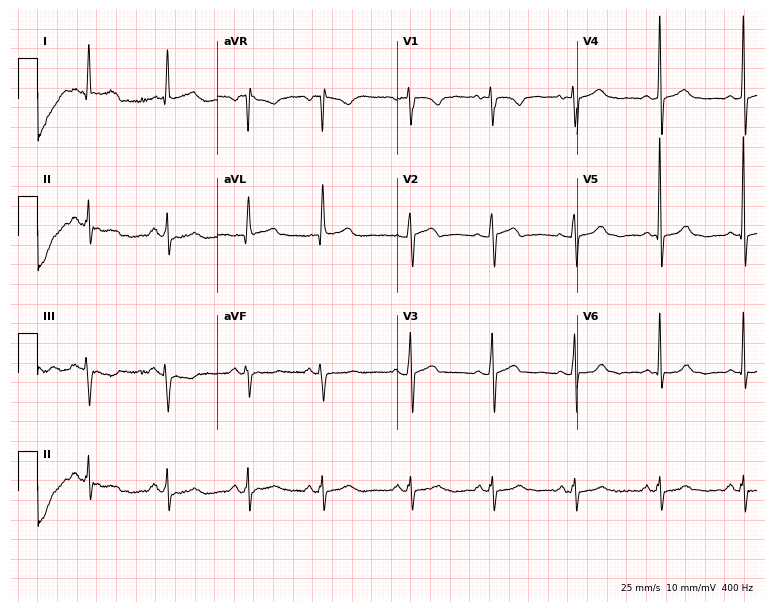
ECG — a male, 77 years old. Screened for six findings — first-degree AV block, right bundle branch block, left bundle branch block, sinus bradycardia, atrial fibrillation, sinus tachycardia — none is recorded.